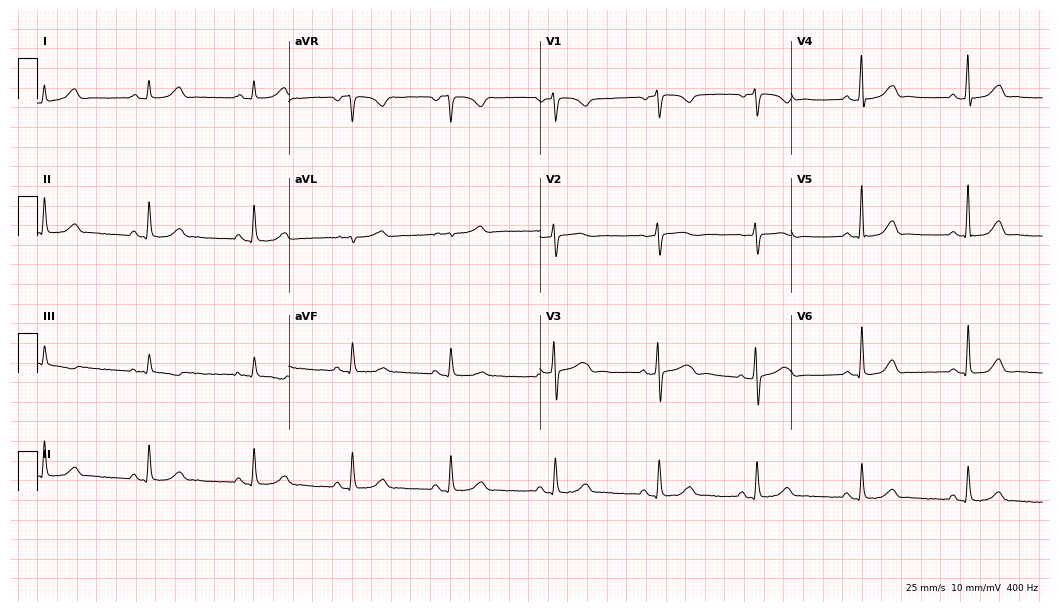
Electrocardiogram, a female patient, 47 years old. Overall reading on record: normal ECG.